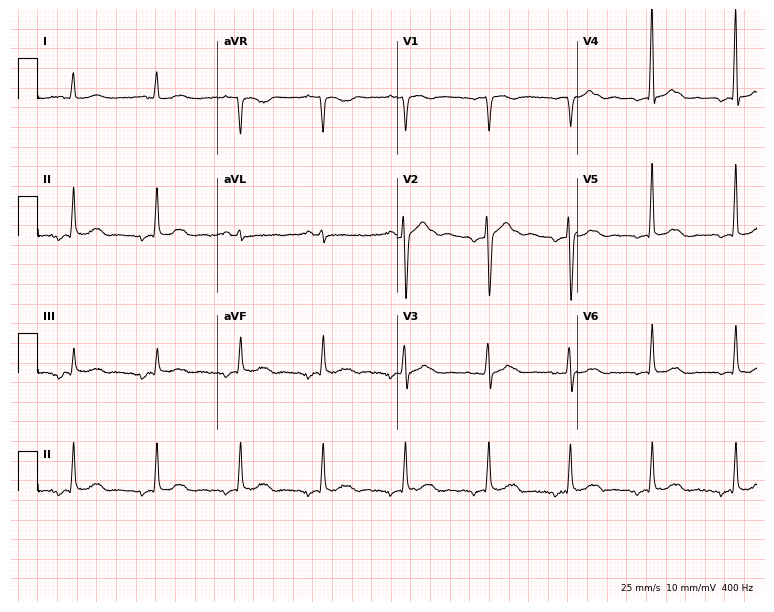
ECG (7.3-second recording at 400 Hz) — a 77-year-old female patient. Labelled as a normal ECG.